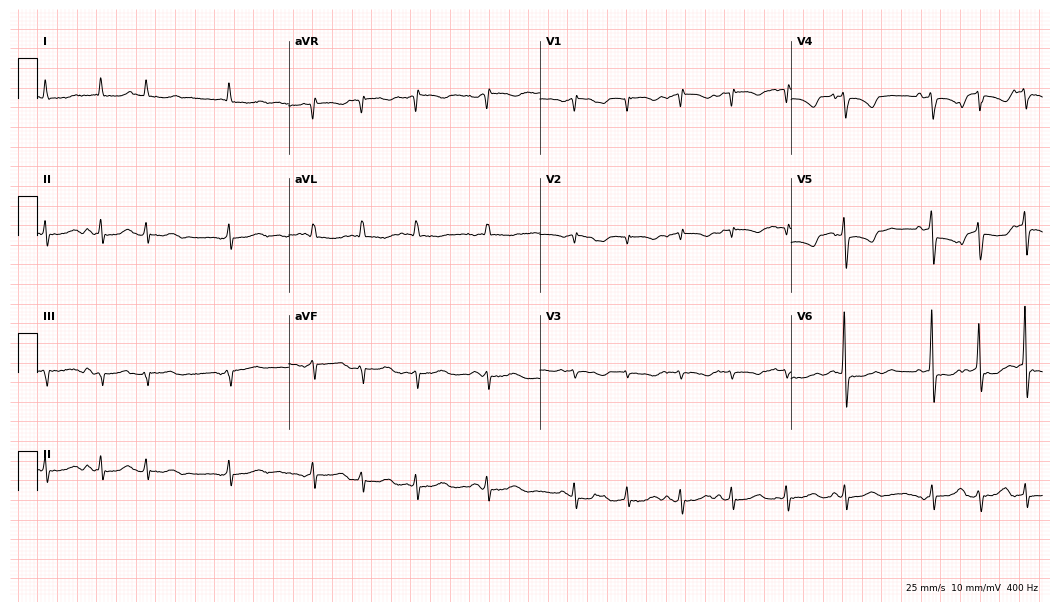
ECG — a female patient, 83 years old. Screened for six findings — first-degree AV block, right bundle branch block, left bundle branch block, sinus bradycardia, atrial fibrillation, sinus tachycardia — none is recorded. Only these six findings were labelled.